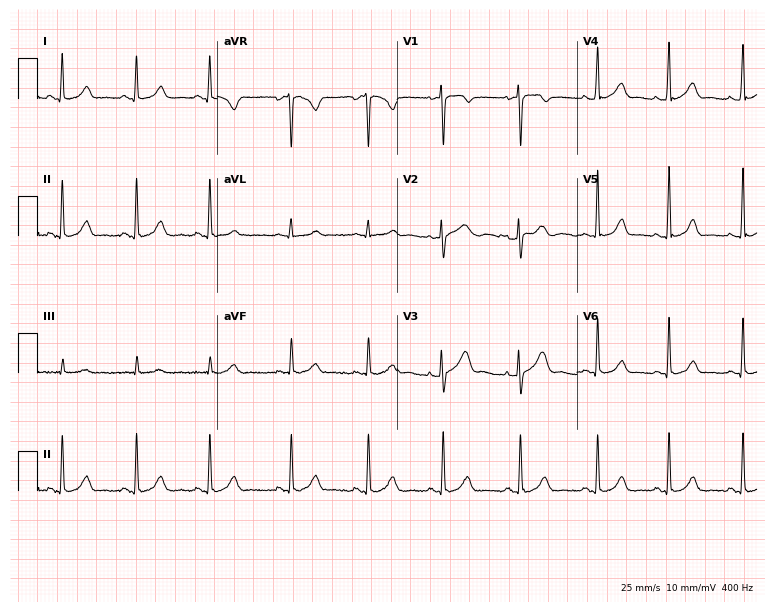
12-lead ECG (7.3-second recording at 400 Hz) from an 18-year-old female patient. Labelled as a normal ECG.